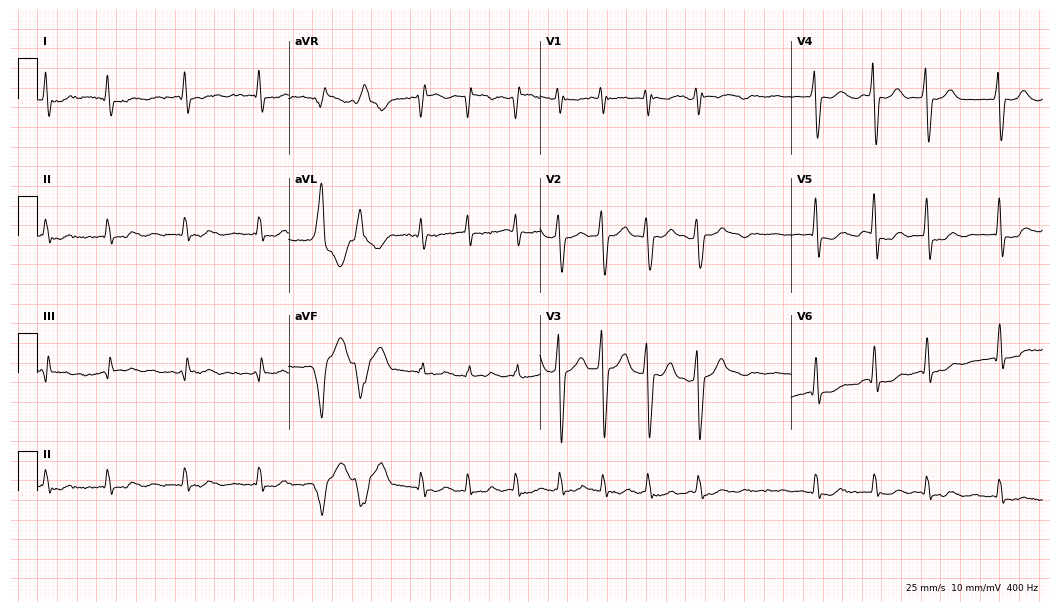
12-lead ECG from a 72-year-old woman. Shows atrial fibrillation.